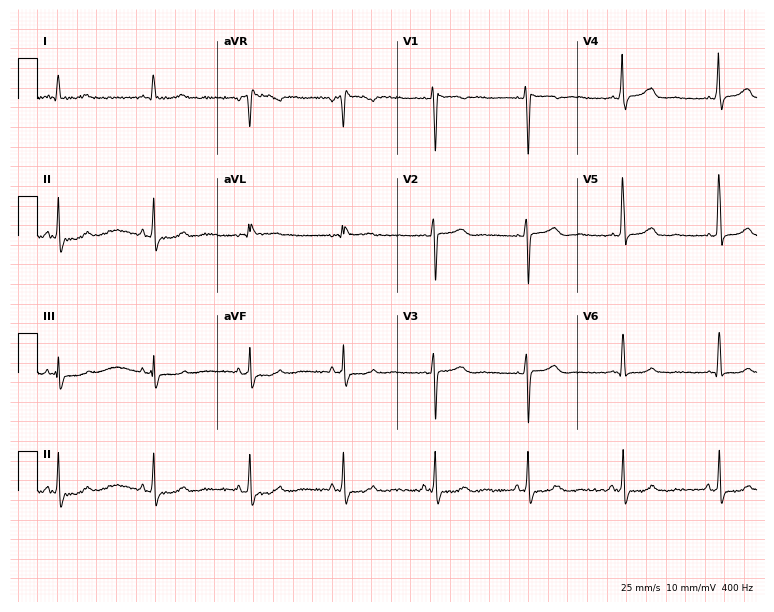
Resting 12-lead electrocardiogram (7.3-second recording at 400 Hz). Patient: a woman, 33 years old. None of these six findings is recorded: first-degree AV block, right bundle branch block, left bundle branch block, sinus bradycardia, atrial fibrillation, sinus tachycardia.